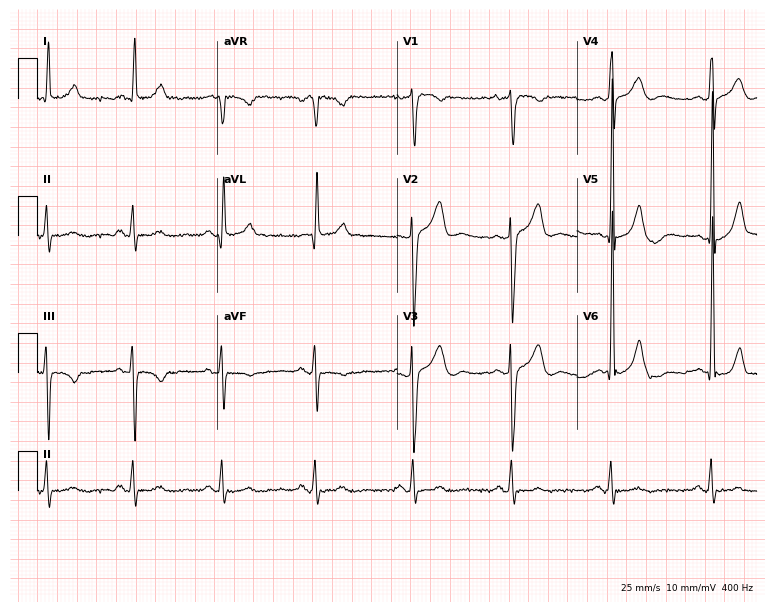
ECG — a male, 69 years old. Screened for six findings — first-degree AV block, right bundle branch block (RBBB), left bundle branch block (LBBB), sinus bradycardia, atrial fibrillation (AF), sinus tachycardia — none is recorded. Only these six findings were labelled.